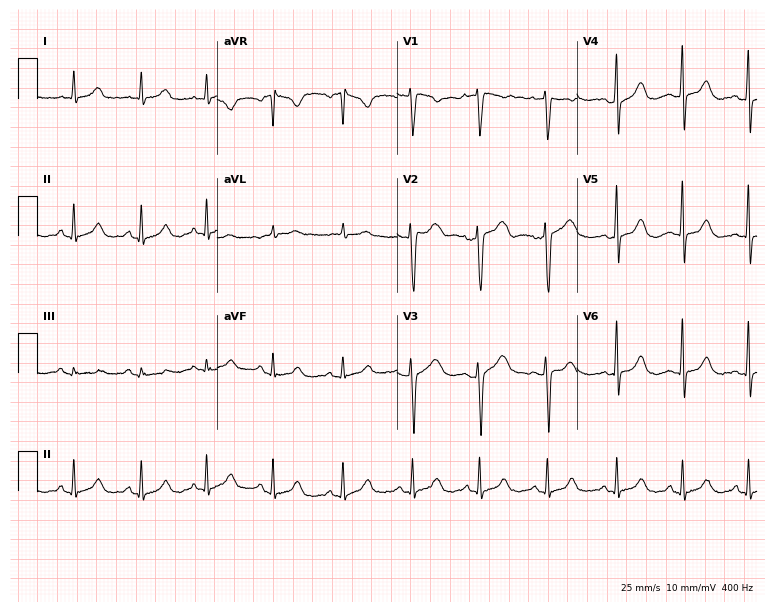
12-lead ECG from a 33-year-old female patient. Recorded interpretation: within normal limits.